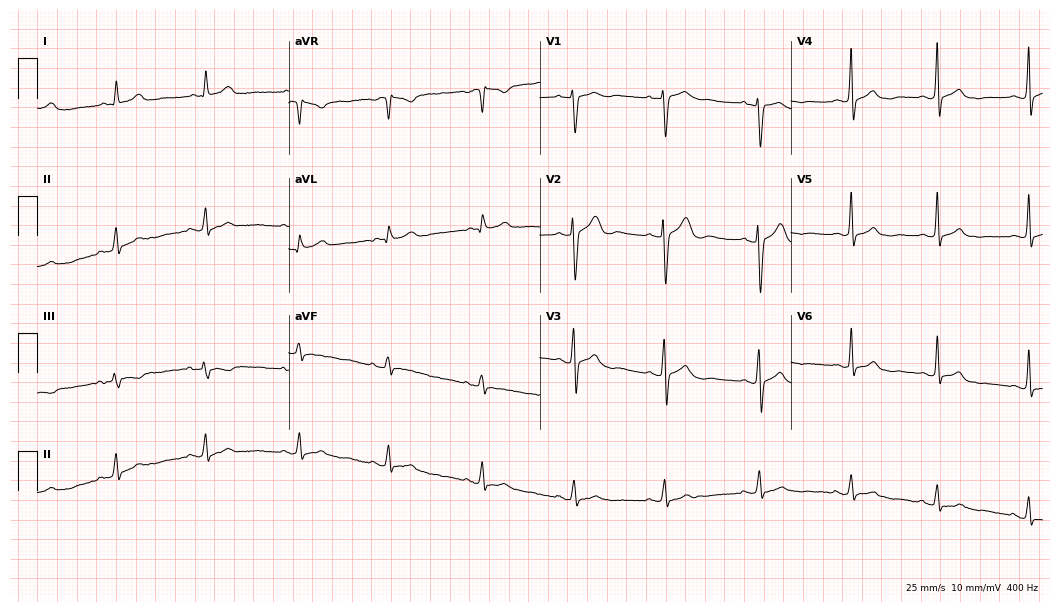
Electrocardiogram (10.2-second recording at 400 Hz), a 35-year-old female patient. Of the six screened findings (first-degree AV block, right bundle branch block, left bundle branch block, sinus bradycardia, atrial fibrillation, sinus tachycardia), none is recorded. Other findings, if any, are not listed.